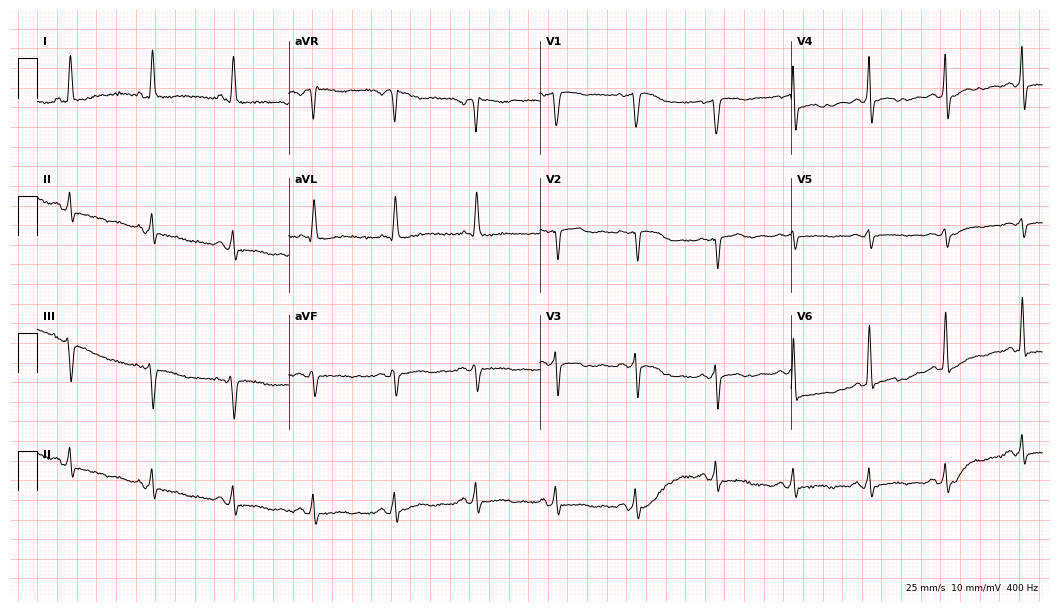
12-lead ECG from a 75-year-old female. No first-degree AV block, right bundle branch block, left bundle branch block, sinus bradycardia, atrial fibrillation or sinus tachycardia recorded for this tracing. Findings outside these six are not listed.